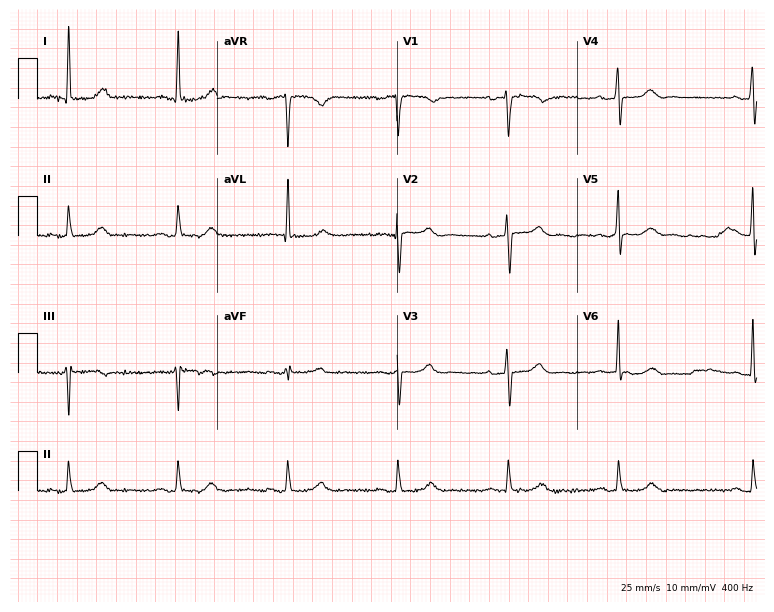
Standard 12-lead ECG recorded from an 81-year-old female patient (7.3-second recording at 400 Hz). None of these six findings is recorded: first-degree AV block, right bundle branch block, left bundle branch block, sinus bradycardia, atrial fibrillation, sinus tachycardia. Only these six findings were labelled.